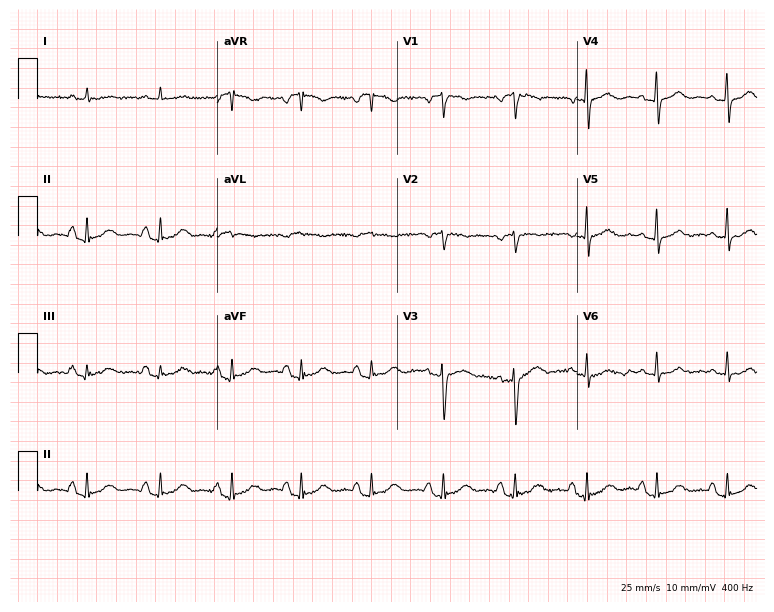
ECG (7.3-second recording at 400 Hz) — a female, 73 years old. Labelled as a normal ECG.